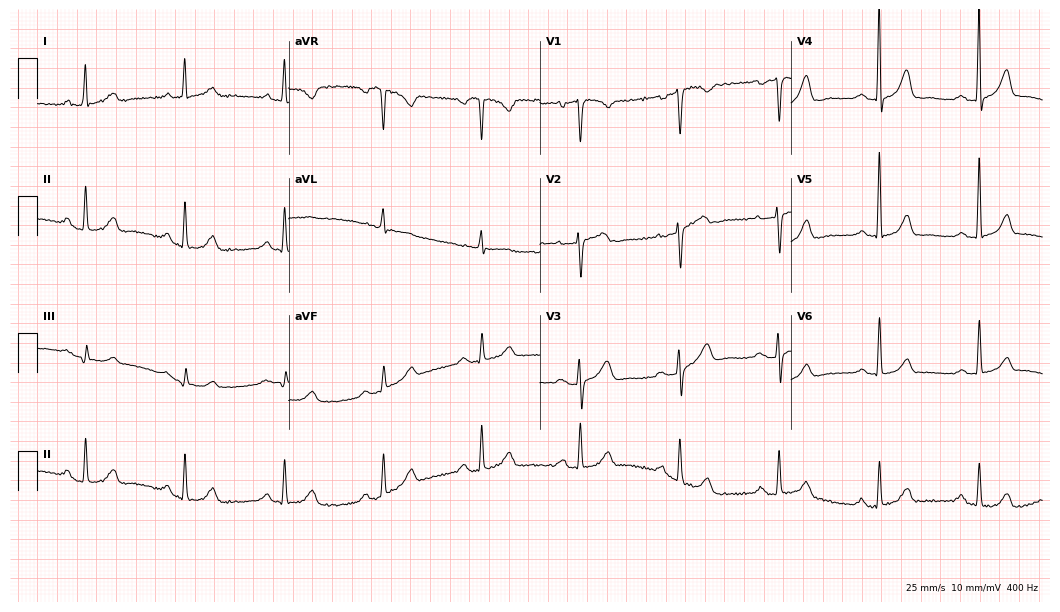
Electrocardiogram, a woman, 70 years old. Of the six screened findings (first-degree AV block, right bundle branch block (RBBB), left bundle branch block (LBBB), sinus bradycardia, atrial fibrillation (AF), sinus tachycardia), none is recorded.